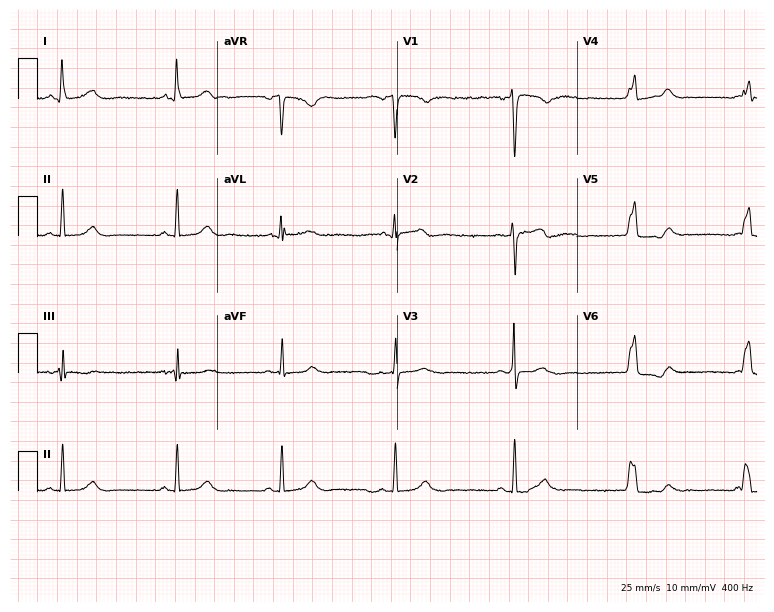
Resting 12-lead electrocardiogram (7.3-second recording at 400 Hz). Patient: a female, 26 years old. Read as a normal ECG.